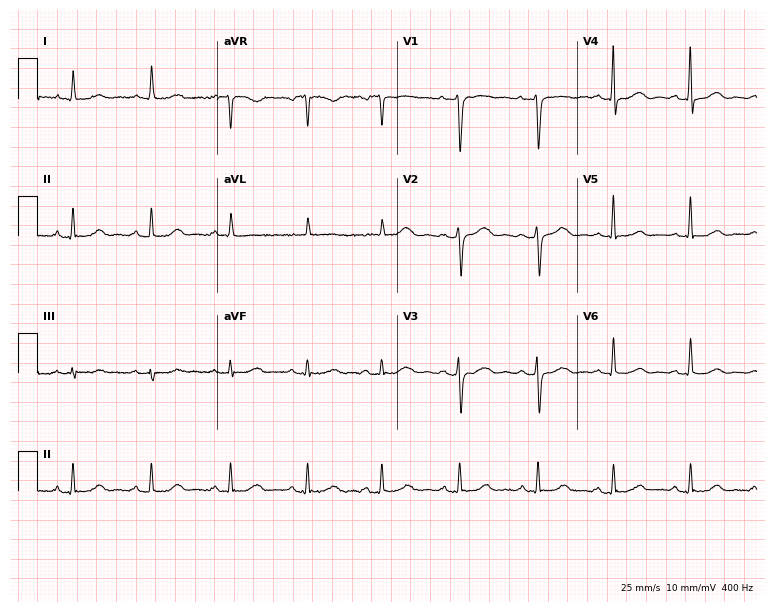
ECG — a woman, 76 years old. Labelled as a normal ECG.